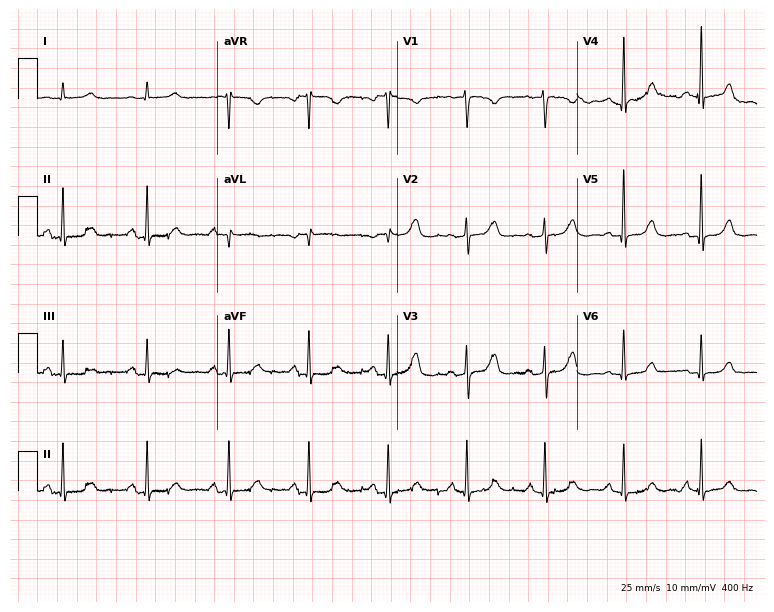
12-lead ECG from a woman, 69 years old. No first-degree AV block, right bundle branch block, left bundle branch block, sinus bradycardia, atrial fibrillation or sinus tachycardia recorded for this tracing. Only these six findings were labelled.